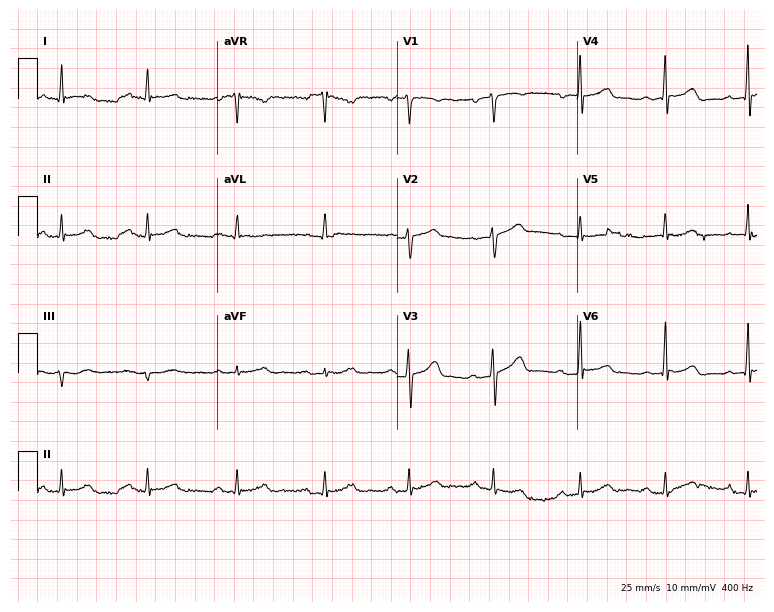
Resting 12-lead electrocardiogram. Patient: a male, 50 years old. Read as a normal ECG.